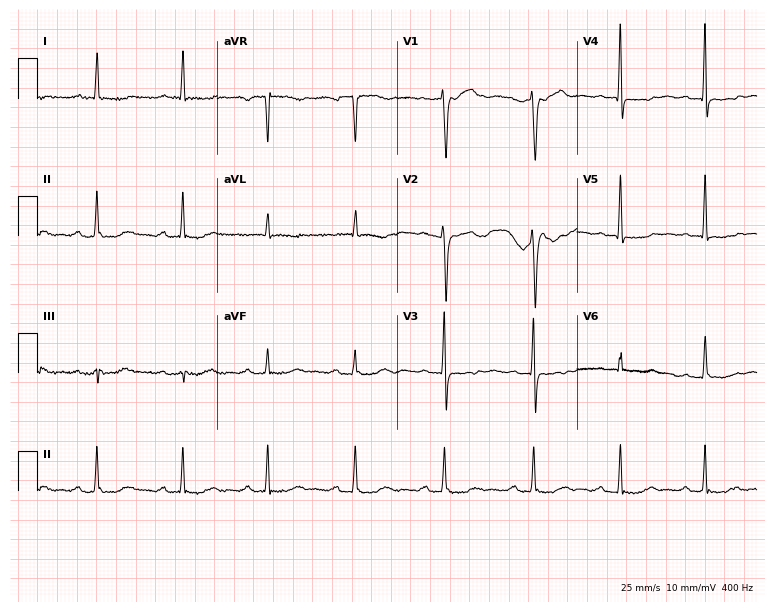
12-lead ECG from a woman, 58 years old (7.3-second recording at 400 Hz). No first-degree AV block, right bundle branch block, left bundle branch block, sinus bradycardia, atrial fibrillation or sinus tachycardia recorded for this tracing.